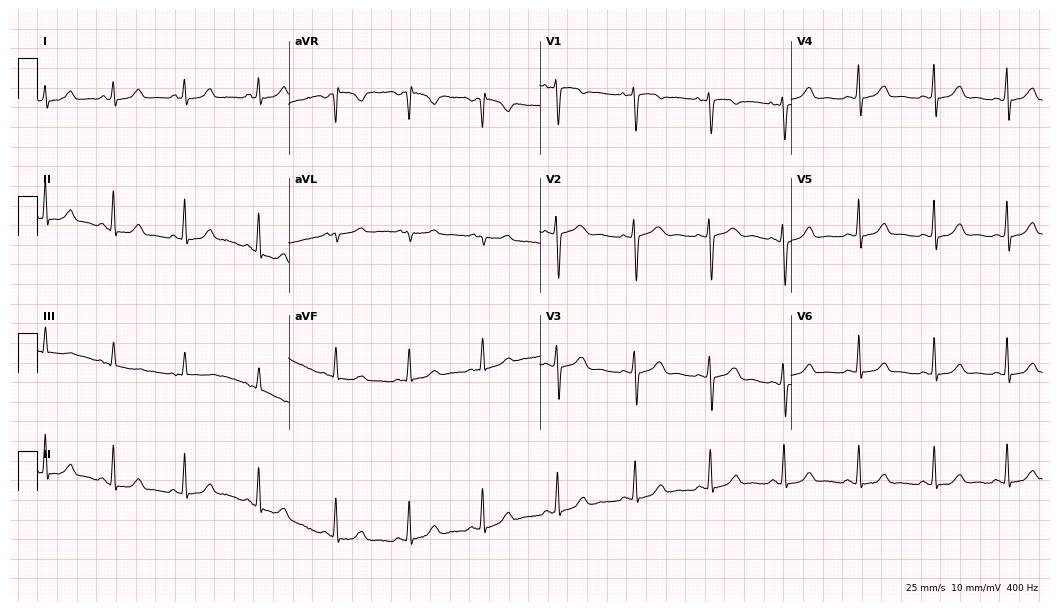
12-lead ECG (10.2-second recording at 400 Hz) from a woman, 44 years old. Labelled as a normal ECG.